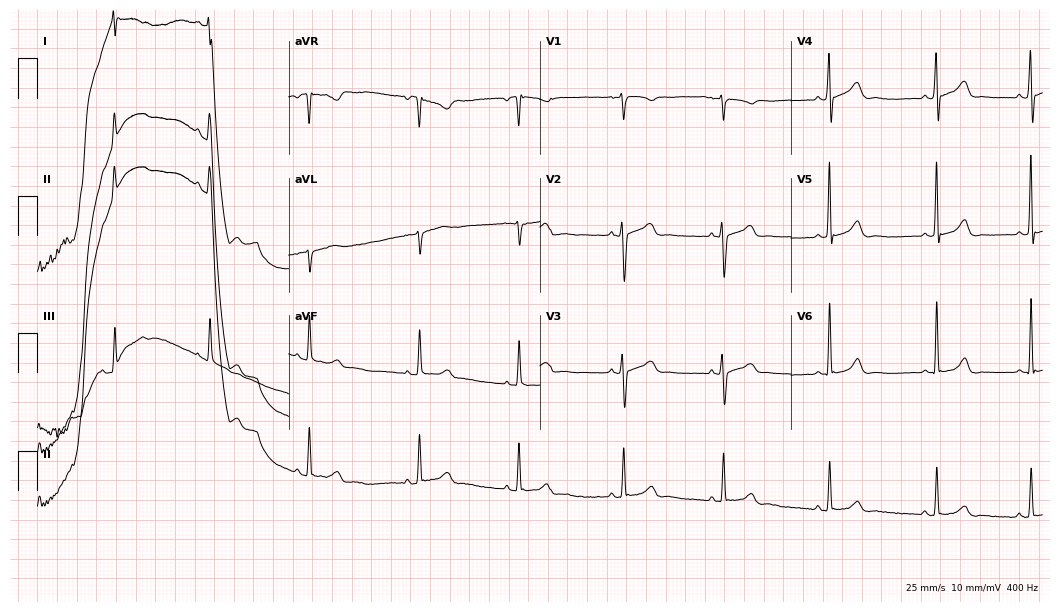
12-lead ECG (10.2-second recording at 400 Hz) from a 26-year-old female. Screened for six findings — first-degree AV block, right bundle branch block, left bundle branch block, sinus bradycardia, atrial fibrillation, sinus tachycardia — none is recorded.